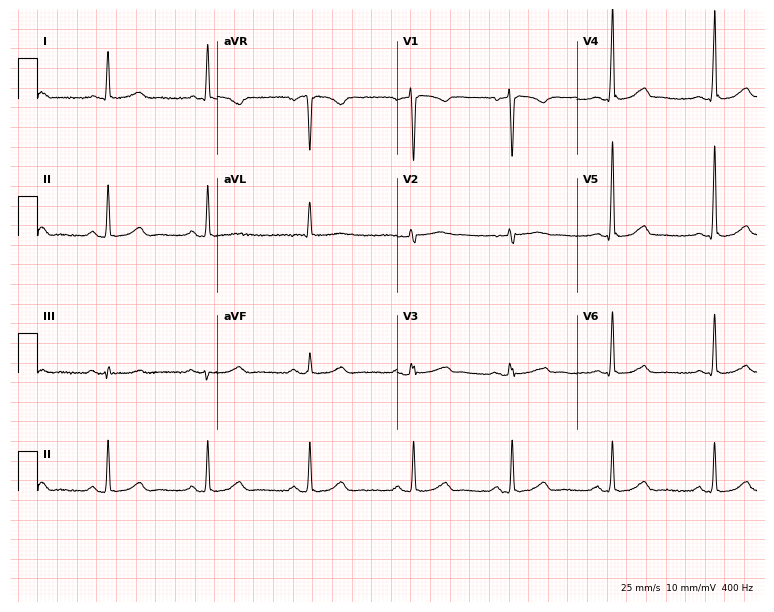
Electrocardiogram (7.3-second recording at 400 Hz), a 49-year-old female. Overall reading on record: normal ECG.